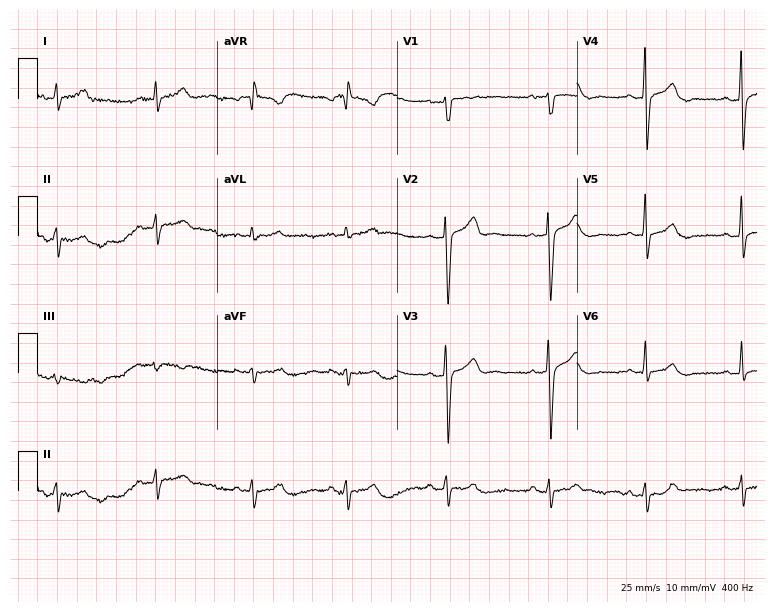
12-lead ECG from a 28-year-old male patient. Screened for six findings — first-degree AV block, right bundle branch block, left bundle branch block, sinus bradycardia, atrial fibrillation, sinus tachycardia — none is recorded. Other findings, if any, are not listed.